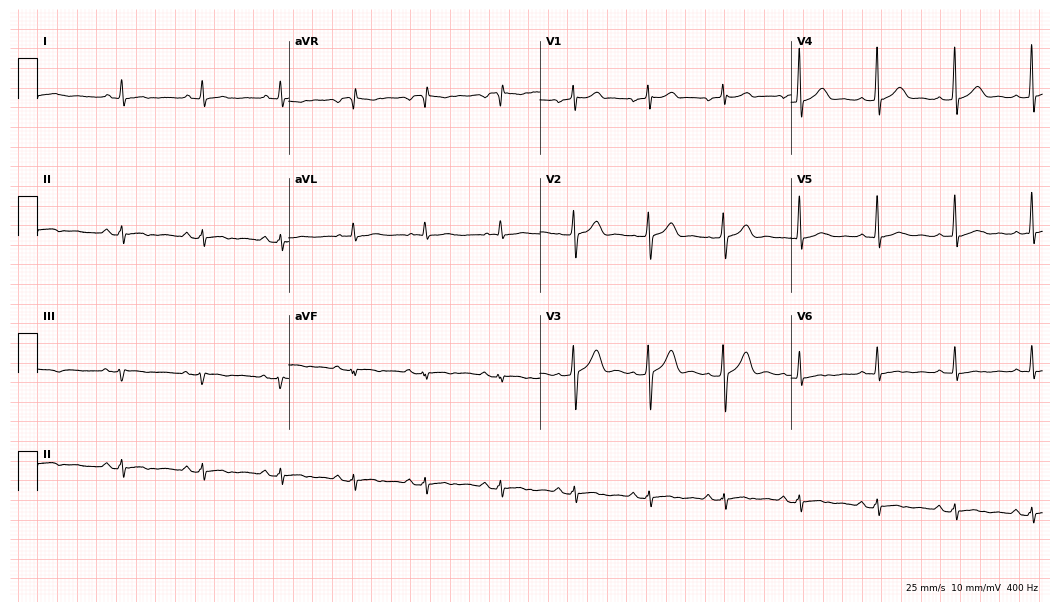
Electrocardiogram (10.2-second recording at 400 Hz), a male, 27 years old. Of the six screened findings (first-degree AV block, right bundle branch block, left bundle branch block, sinus bradycardia, atrial fibrillation, sinus tachycardia), none is recorded. Findings outside these six are not listed.